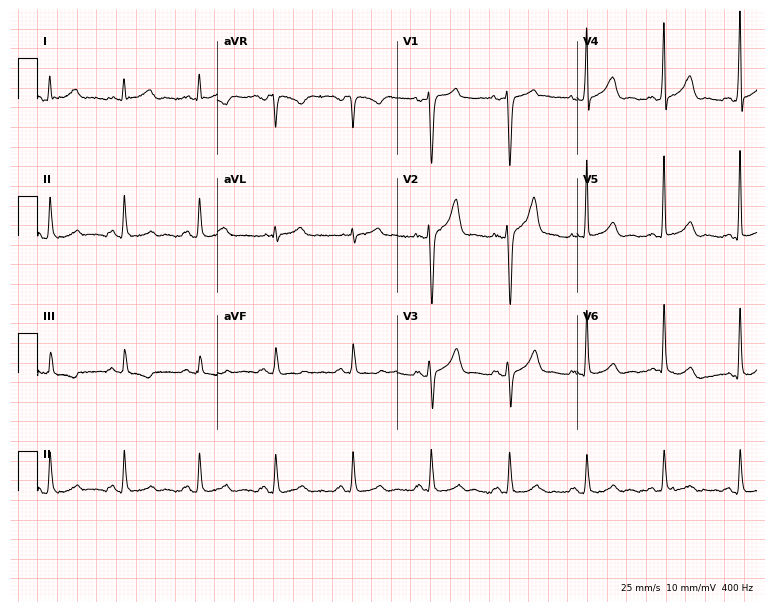
Standard 12-lead ECG recorded from a 39-year-old male patient. Read as a normal ECG.